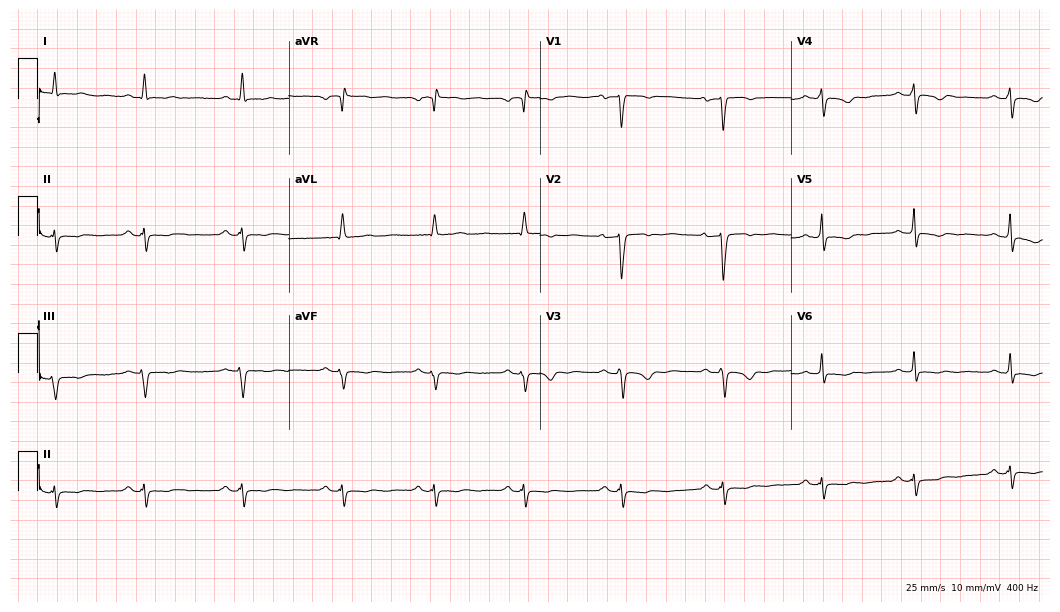
Standard 12-lead ECG recorded from a 45-year-old female. None of these six findings is recorded: first-degree AV block, right bundle branch block, left bundle branch block, sinus bradycardia, atrial fibrillation, sinus tachycardia.